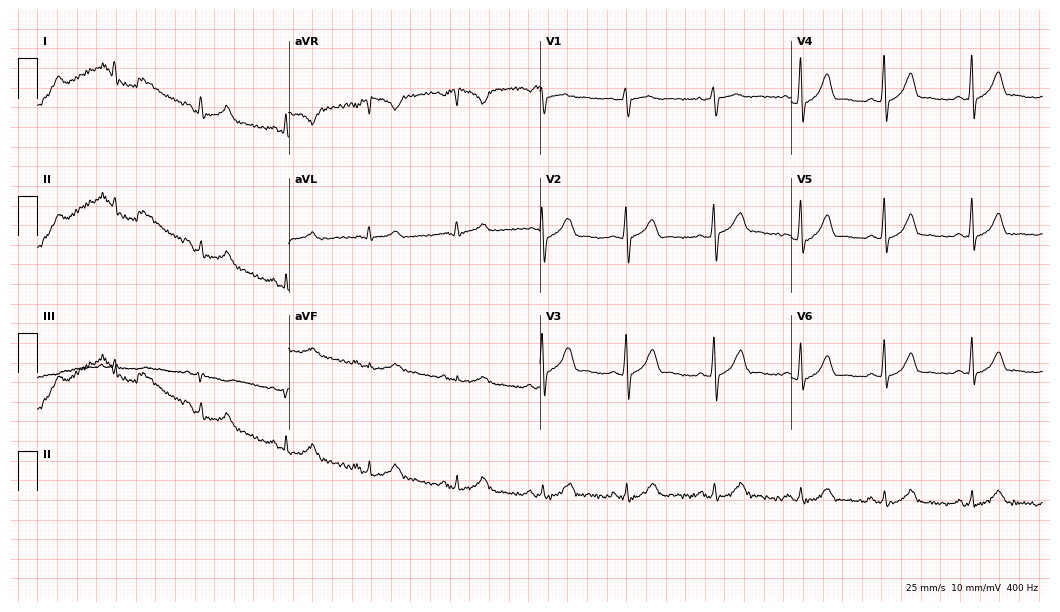
12-lead ECG (10.2-second recording at 400 Hz) from a 24-year-old woman. Labelled as a normal ECG.